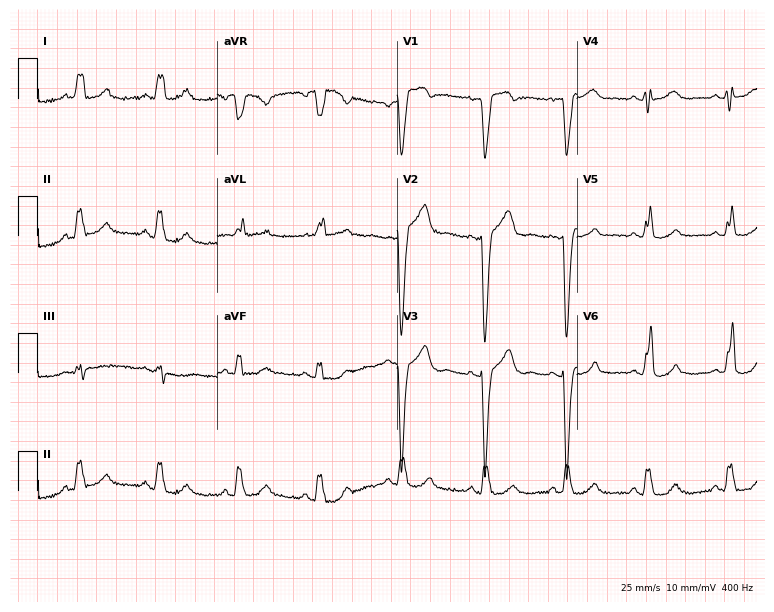
Electrocardiogram (7.3-second recording at 400 Hz), a 44-year-old female. Interpretation includes left bundle branch block.